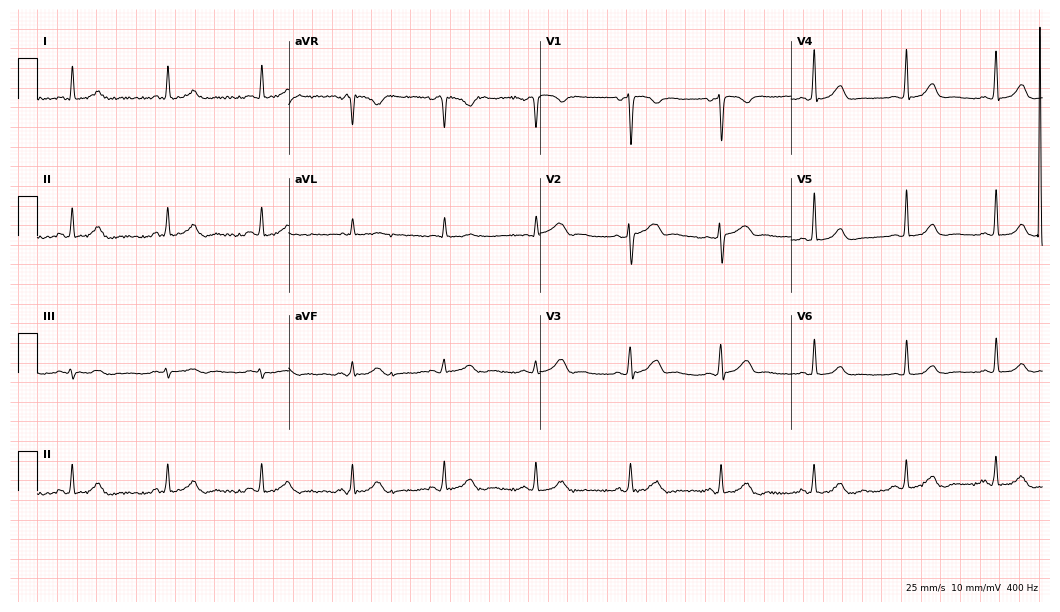
12-lead ECG from a female patient, 41 years old. Recorded interpretation: within normal limits.